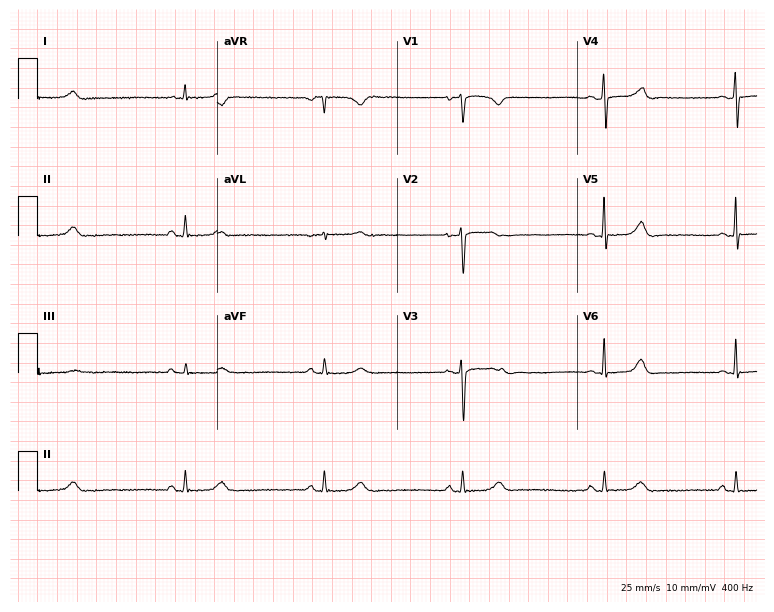
12-lead ECG (7.3-second recording at 400 Hz) from a 50-year-old female patient. Findings include sinus bradycardia (a sinus rate of 50 beats per minute or less).